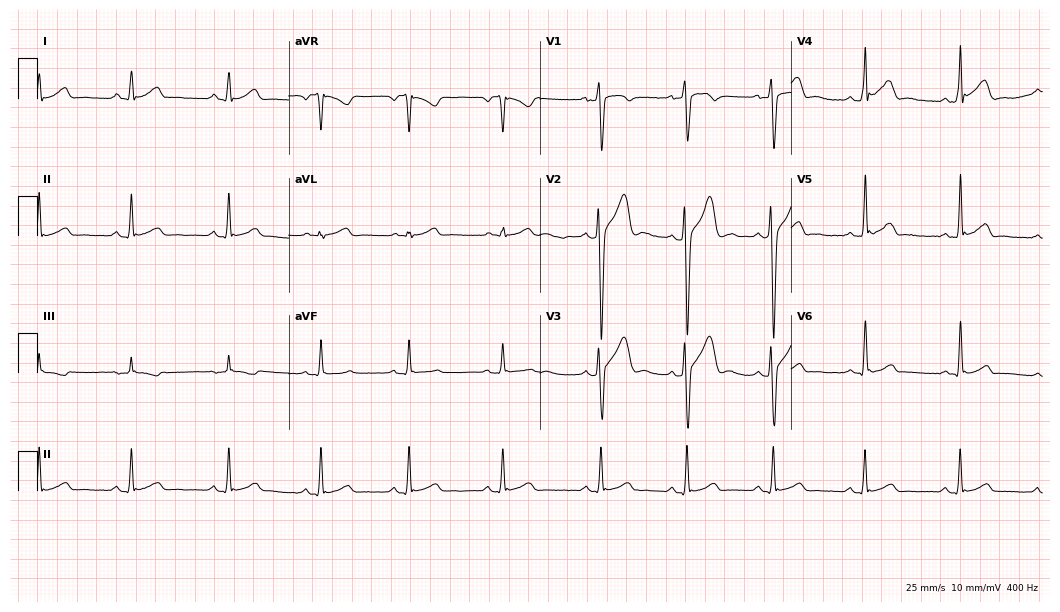
12-lead ECG (10.2-second recording at 400 Hz) from a 23-year-old male patient. Screened for six findings — first-degree AV block, right bundle branch block, left bundle branch block, sinus bradycardia, atrial fibrillation, sinus tachycardia — none is recorded.